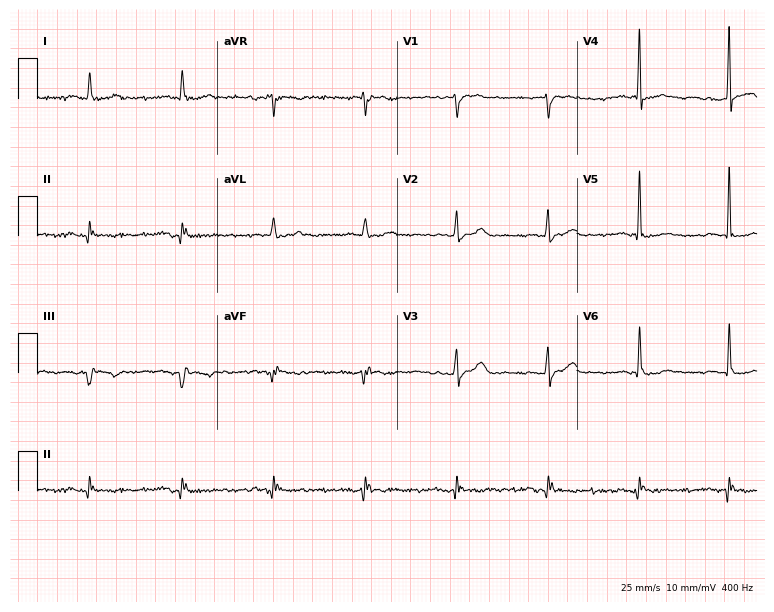
12-lead ECG (7.3-second recording at 400 Hz) from a 74-year-old man. Screened for six findings — first-degree AV block, right bundle branch block, left bundle branch block, sinus bradycardia, atrial fibrillation, sinus tachycardia — none is recorded. Findings outside these six are not listed.